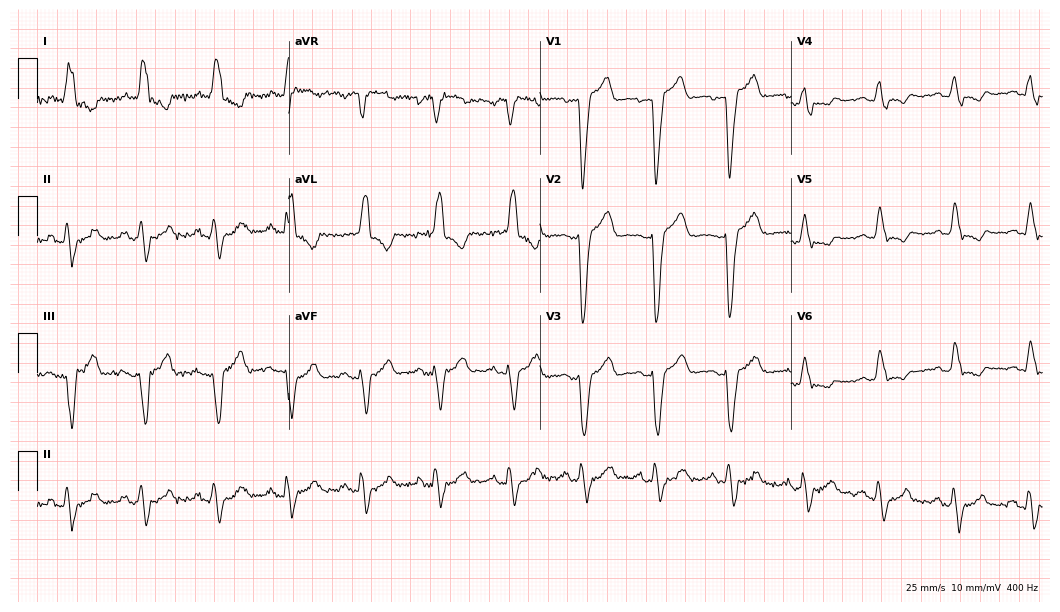
Electrocardiogram (10.2-second recording at 400 Hz), a male patient, 67 years old. Interpretation includes left bundle branch block.